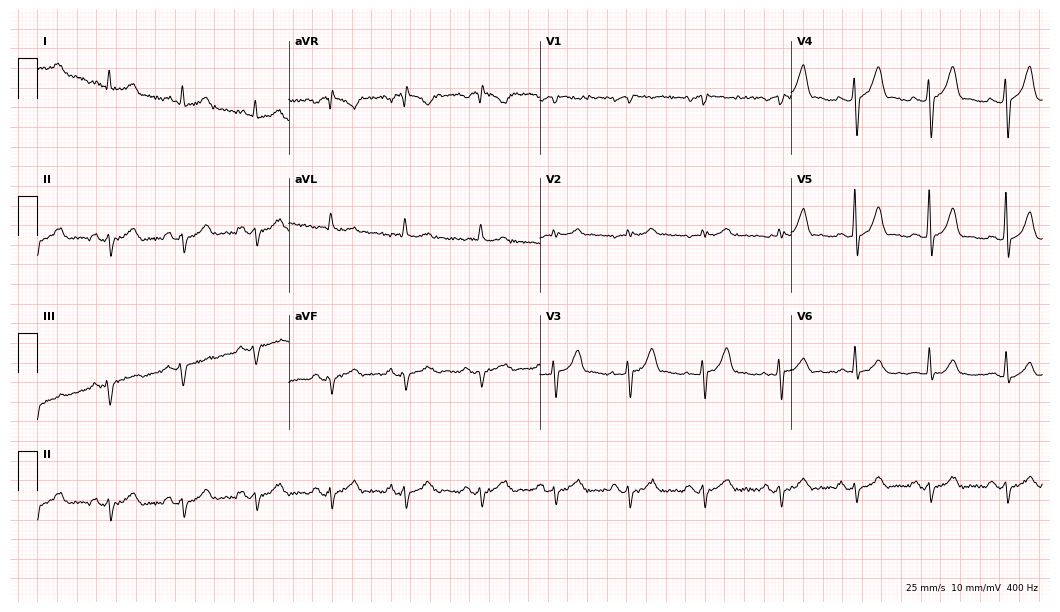
Electrocardiogram, a 47-year-old male patient. Of the six screened findings (first-degree AV block, right bundle branch block (RBBB), left bundle branch block (LBBB), sinus bradycardia, atrial fibrillation (AF), sinus tachycardia), none is recorded. Other findings, if any, are not listed.